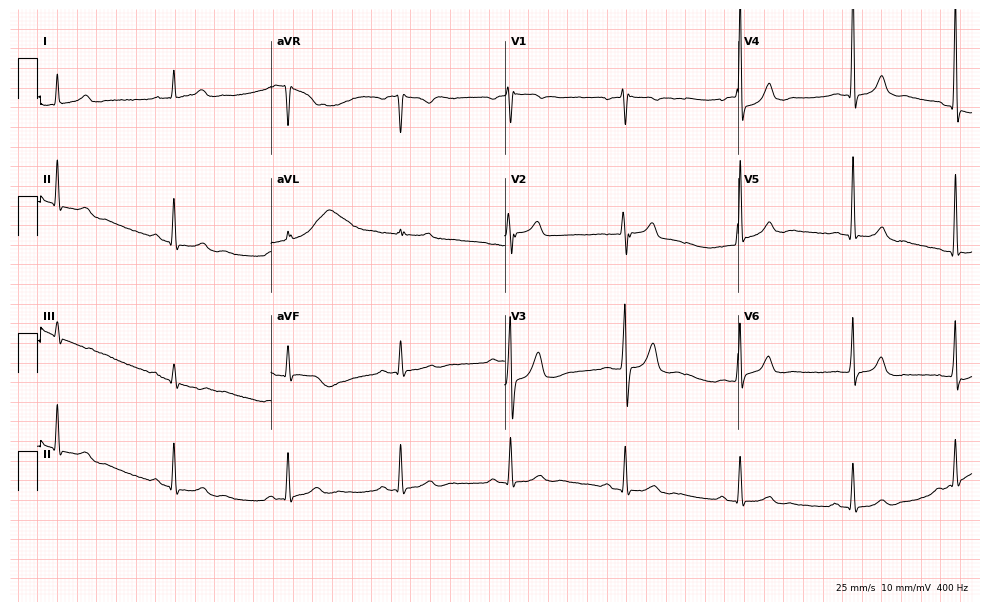
12-lead ECG (9.5-second recording at 400 Hz) from a 50-year-old man. Screened for six findings — first-degree AV block, right bundle branch block, left bundle branch block, sinus bradycardia, atrial fibrillation, sinus tachycardia — none is recorded. Only these six findings were labelled.